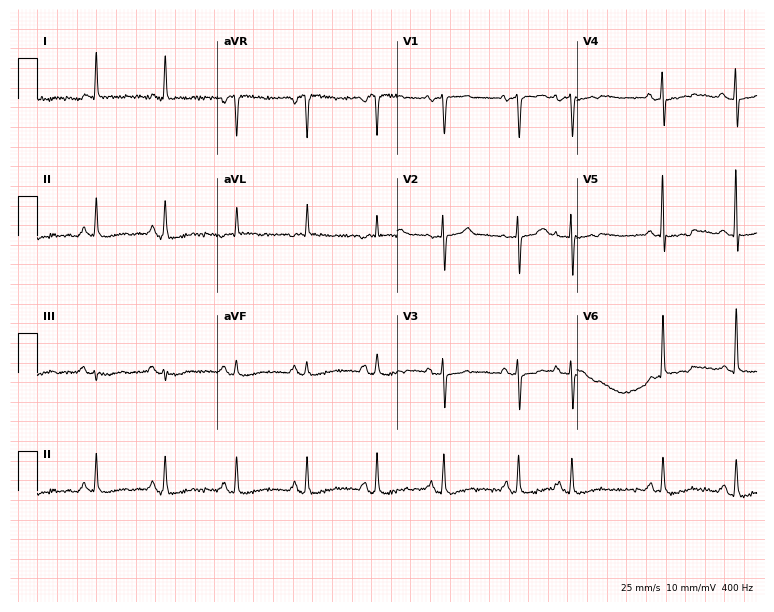
ECG (7.3-second recording at 400 Hz) — a female, 63 years old. Screened for six findings — first-degree AV block, right bundle branch block (RBBB), left bundle branch block (LBBB), sinus bradycardia, atrial fibrillation (AF), sinus tachycardia — none is recorded.